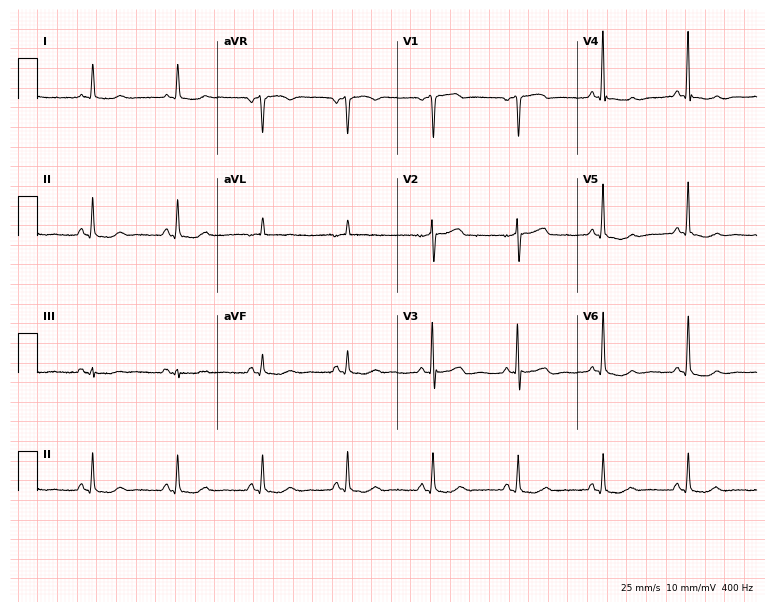
ECG (7.3-second recording at 400 Hz) — an 84-year-old male patient. Screened for six findings — first-degree AV block, right bundle branch block, left bundle branch block, sinus bradycardia, atrial fibrillation, sinus tachycardia — none is recorded.